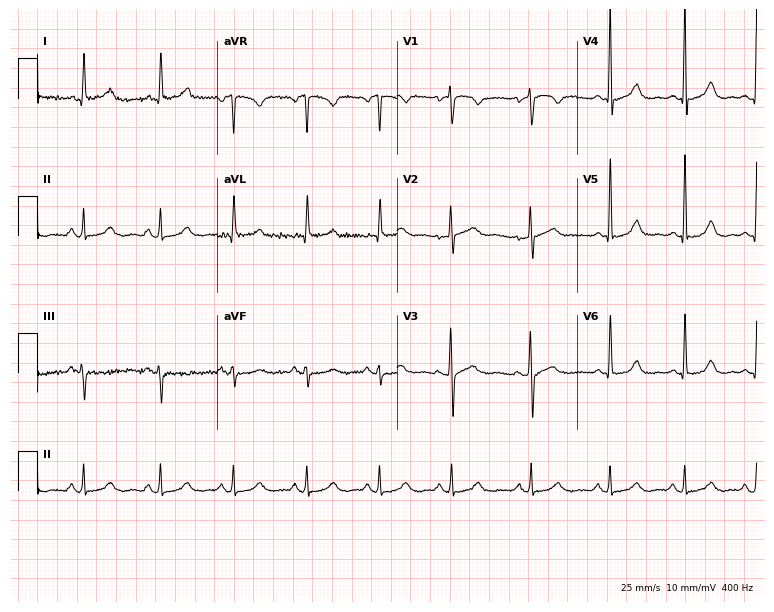
Resting 12-lead electrocardiogram (7.3-second recording at 400 Hz). Patient: a female, 58 years old. None of these six findings is recorded: first-degree AV block, right bundle branch block (RBBB), left bundle branch block (LBBB), sinus bradycardia, atrial fibrillation (AF), sinus tachycardia. Other findings, if any, are not listed.